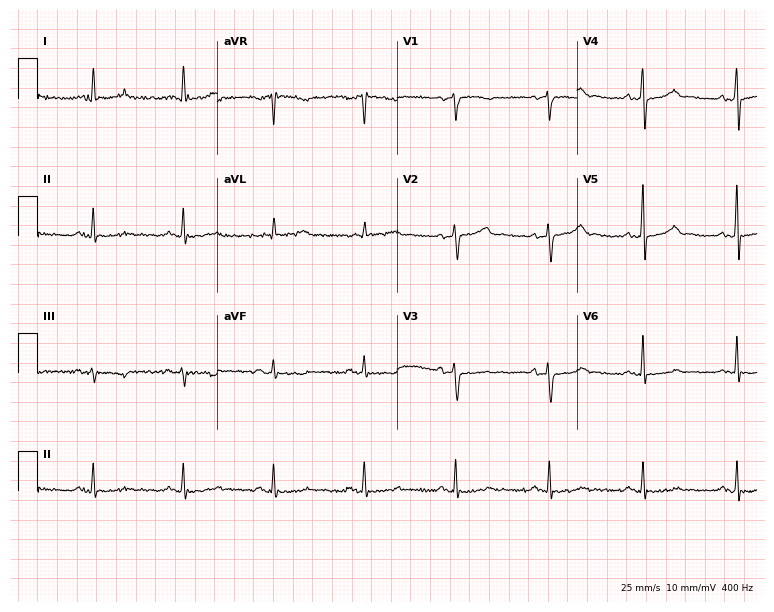
Resting 12-lead electrocardiogram. Patient: a male, 66 years old. None of these six findings is recorded: first-degree AV block, right bundle branch block, left bundle branch block, sinus bradycardia, atrial fibrillation, sinus tachycardia.